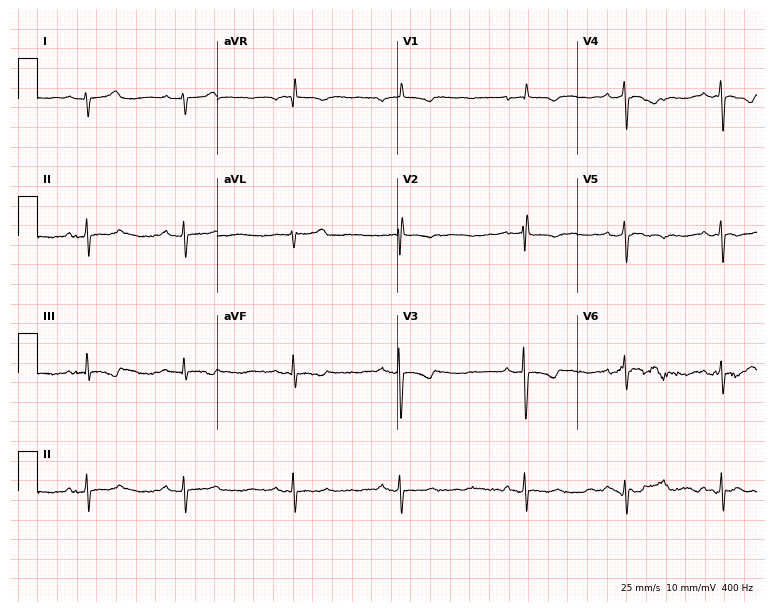
Resting 12-lead electrocardiogram. Patient: a 17-year-old female. None of these six findings is recorded: first-degree AV block, right bundle branch block, left bundle branch block, sinus bradycardia, atrial fibrillation, sinus tachycardia.